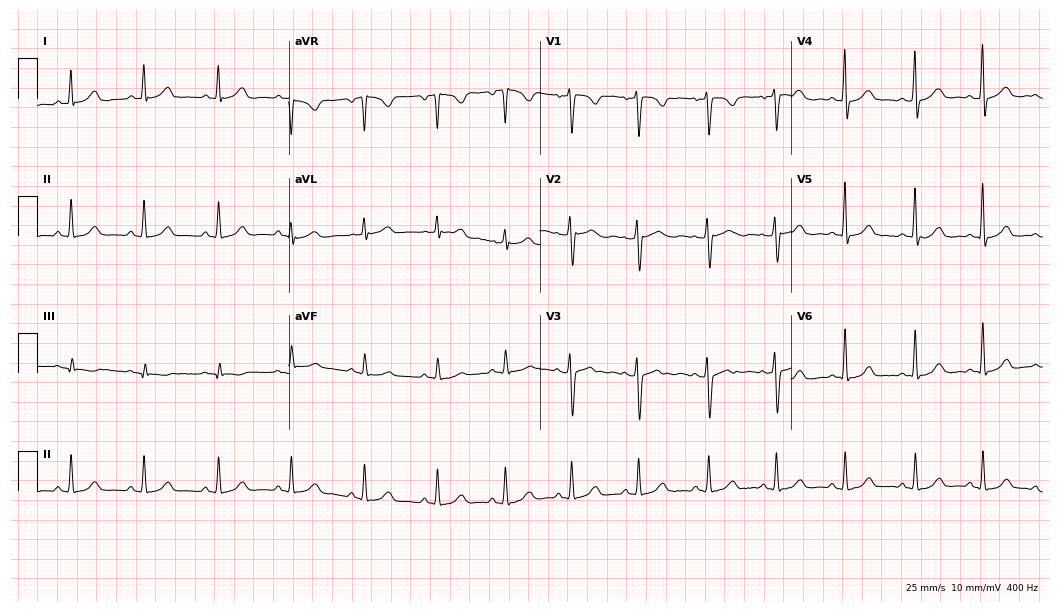
12-lead ECG from a woman, 30 years old (10.2-second recording at 400 Hz). Recorded interpretation: within normal limits.